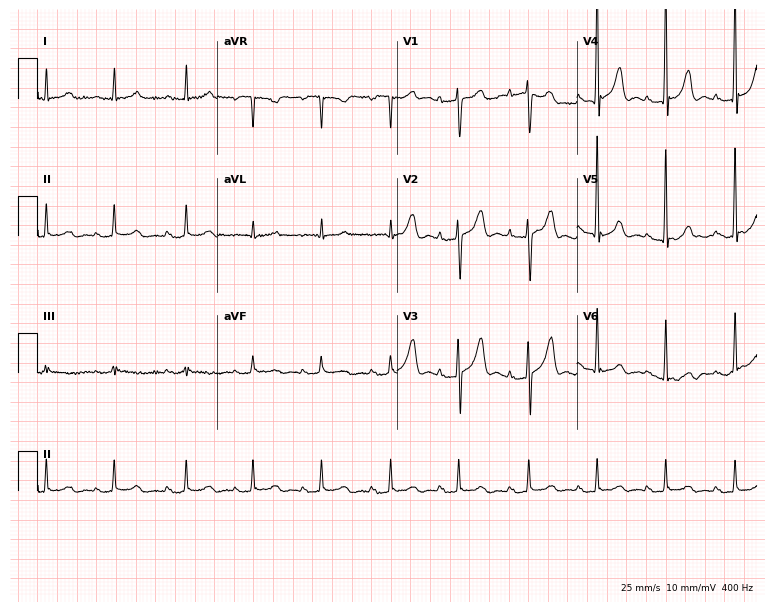
ECG (7.3-second recording at 400 Hz) — a 77-year-old man. Labelled as a normal ECG.